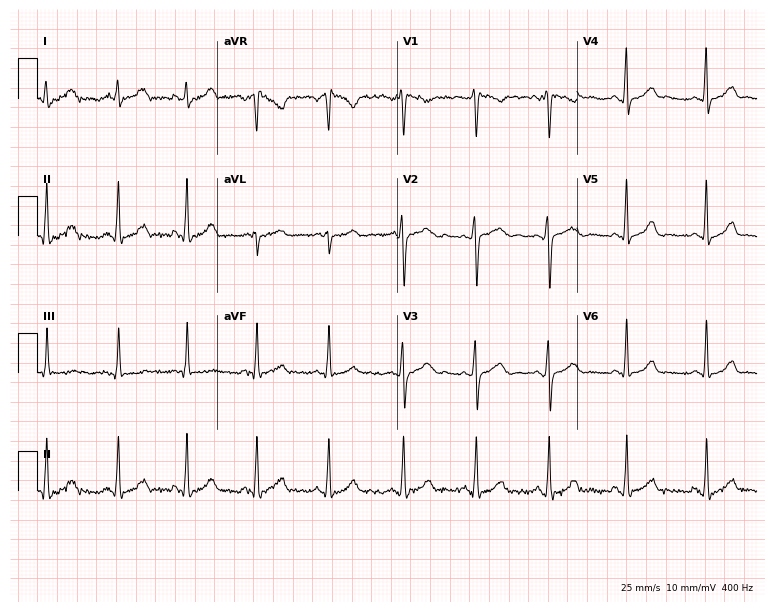
Standard 12-lead ECG recorded from a 30-year-old woman (7.3-second recording at 400 Hz). None of these six findings is recorded: first-degree AV block, right bundle branch block, left bundle branch block, sinus bradycardia, atrial fibrillation, sinus tachycardia.